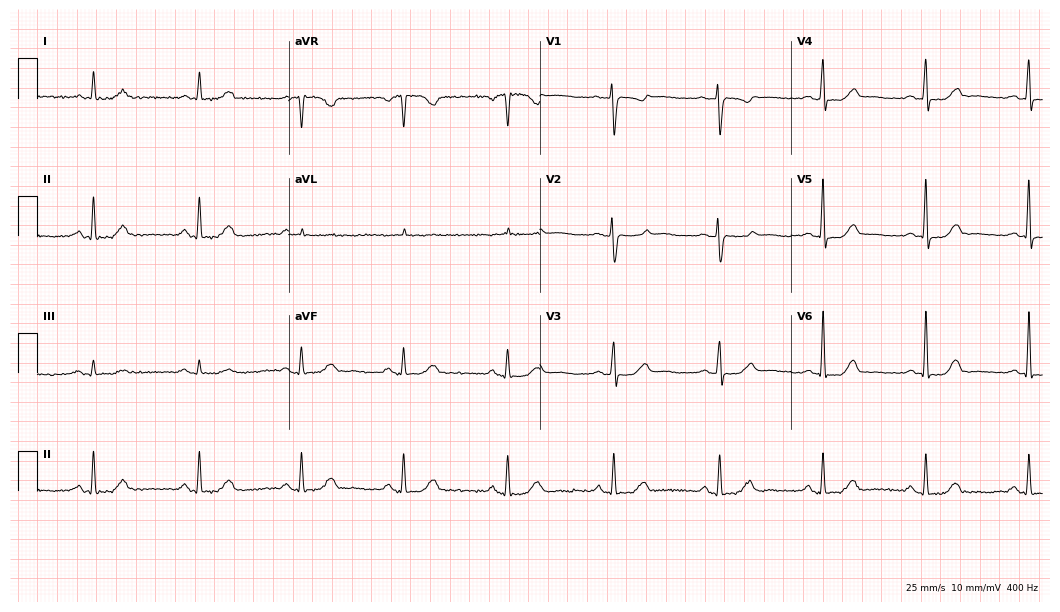
Resting 12-lead electrocardiogram. Patient: a 53-year-old female. Read as a normal ECG.